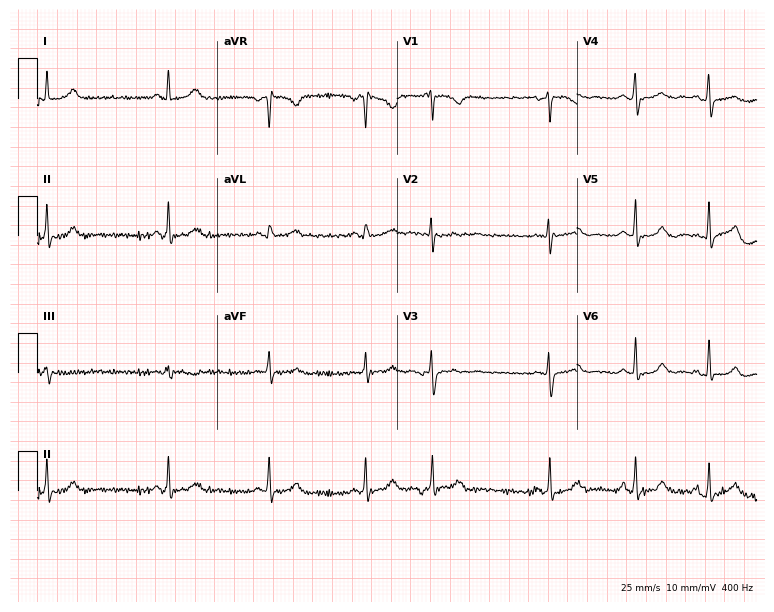
Resting 12-lead electrocardiogram (7.3-second recording at 400 Hz). Patient: a 27-year-old female. Read as a normal ECG.